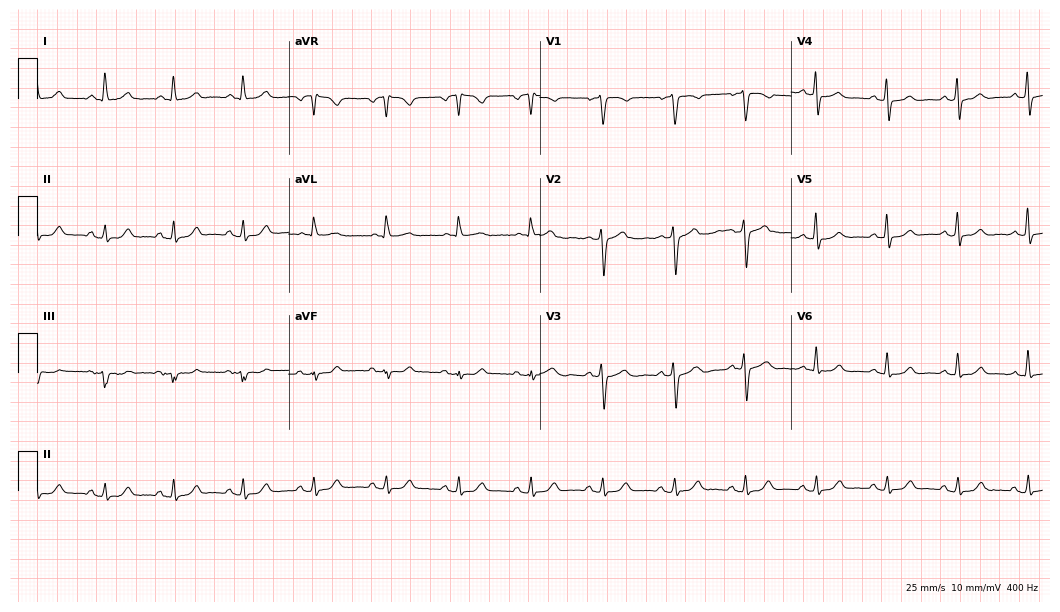
Resting 12-lead electrocardiogram. Patient: a male, 61 years old. Read as a normal ECG.